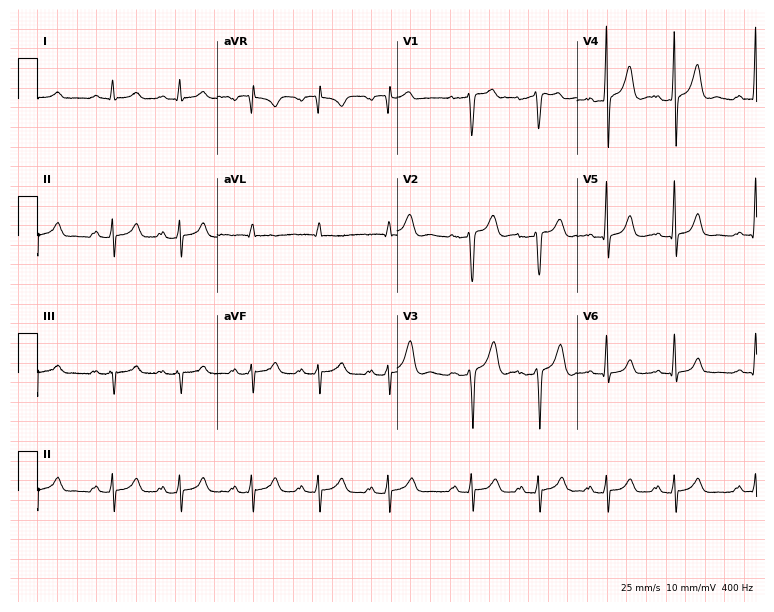
Resting 12-lead electrocardiogram (7.3-second recording at 400 Hz). Patient: a man, 36 years old. None of these six findings is recorded: first-degree AV block, right bundle branch block, left bundle branch block, sinus bradycardia, atrial fibrillation, sinus tachycardia.